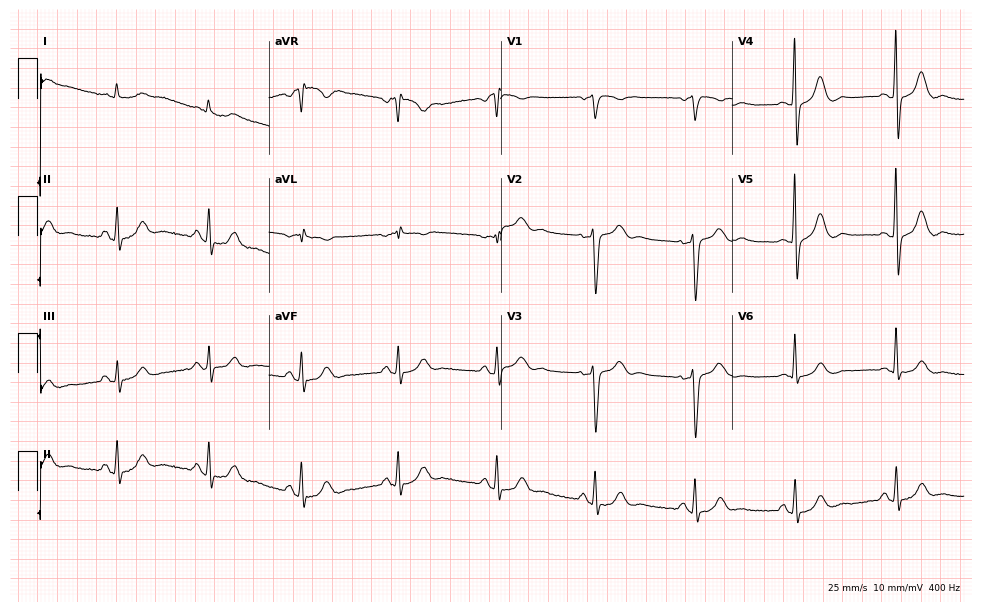
Resting 12-lead electrocardiogram. Patient: a 74-year-old male. None of these six findings is recorded: first-degree AV block, right bundle branch block, left bundle branch block, sinus bradycardia, atrial fibrillation, sinus tachycardia.